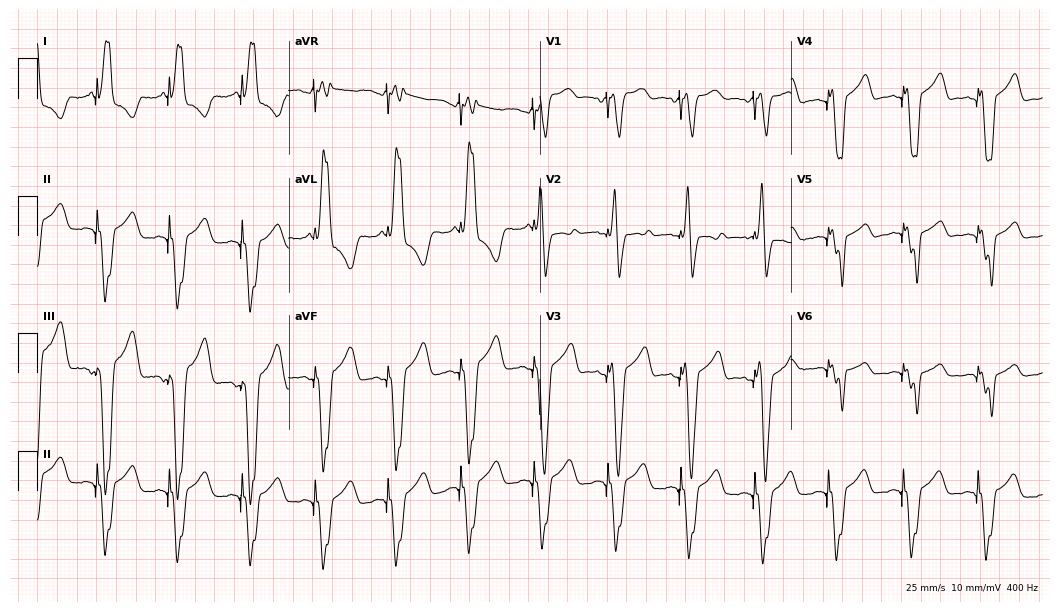
Standard 12-lead ECG recorded from a man, 79 years old. None of these six findings is recorded: first-degree AV block, right bundle branch block, left bundle branch block, sinus bradycardia, atrial fibrillation, sinus tachycardia.